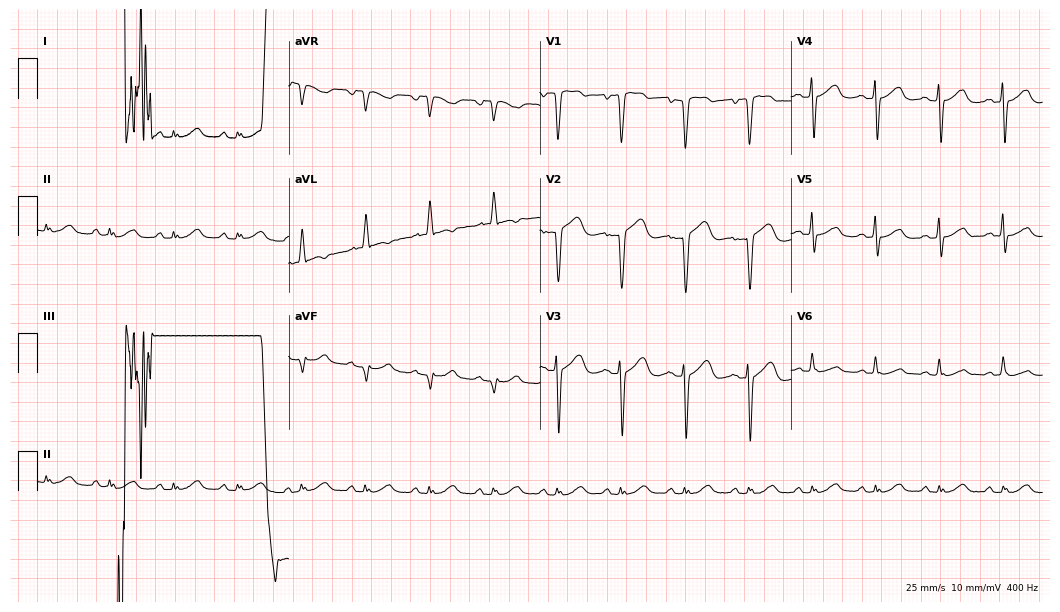
12-lead ECG from a 79-year-old woman. Screened for six findings — first-degree AV block, right bundle branch block (RBBB), left bundle branch block (LBBB), sinus bradycardia, atrial fibrillation (AF), sinus tachycardia — none is recorded.